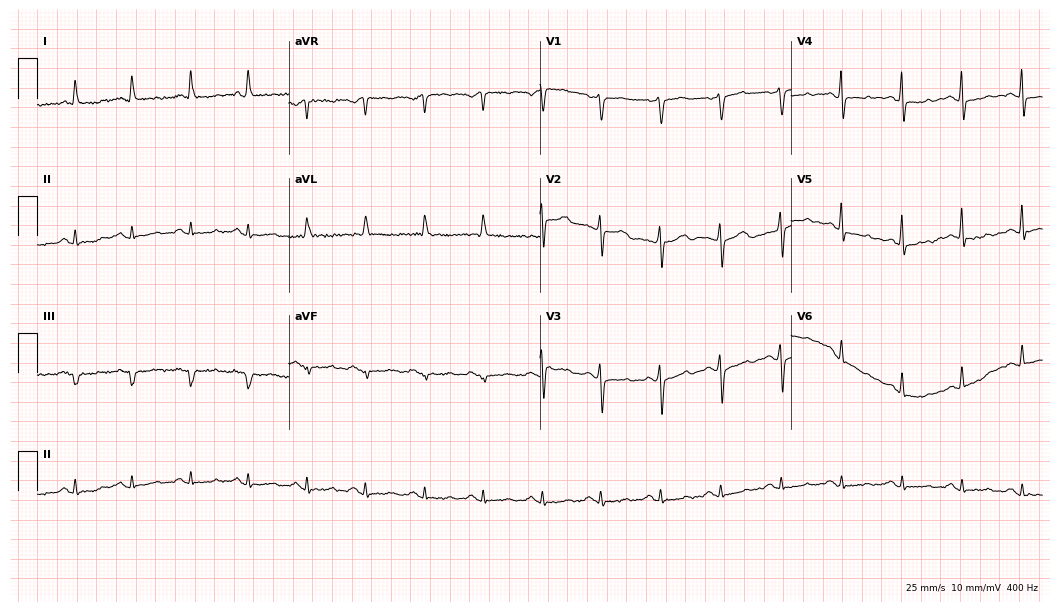
12-lead ECG from a 79-year-old male patient. No first-degree AV block, right bundle branch block (RBBB), left bundle branch block (LBBB), sinus bradycardia, atrial fibrillation (AF) or sinus tachycardia recorded for this tracing.